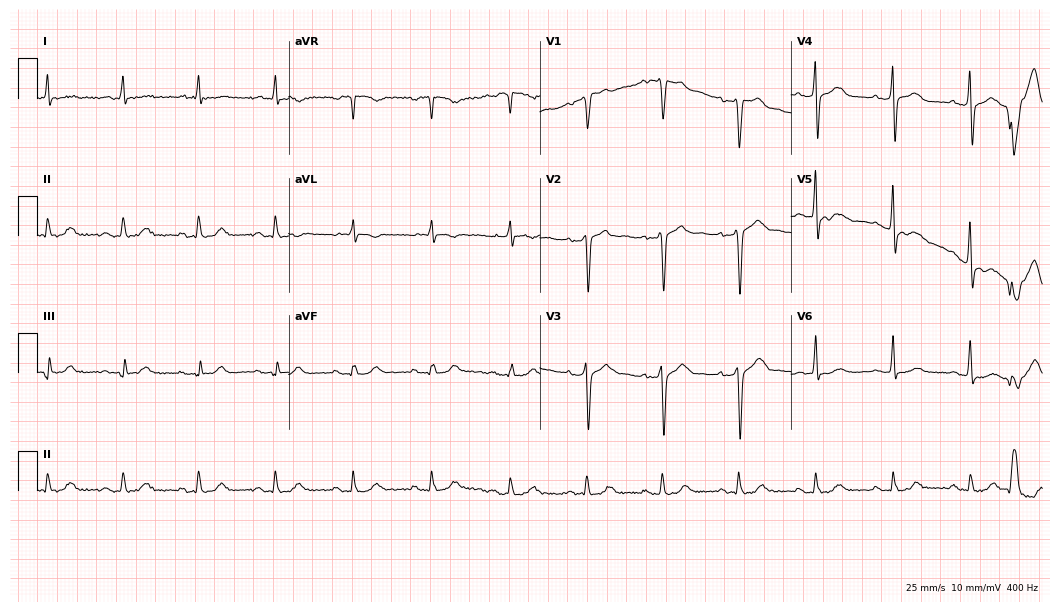
Electrocardiogram, a male patient, 68 years old. Overall reading on record: normal ECG.